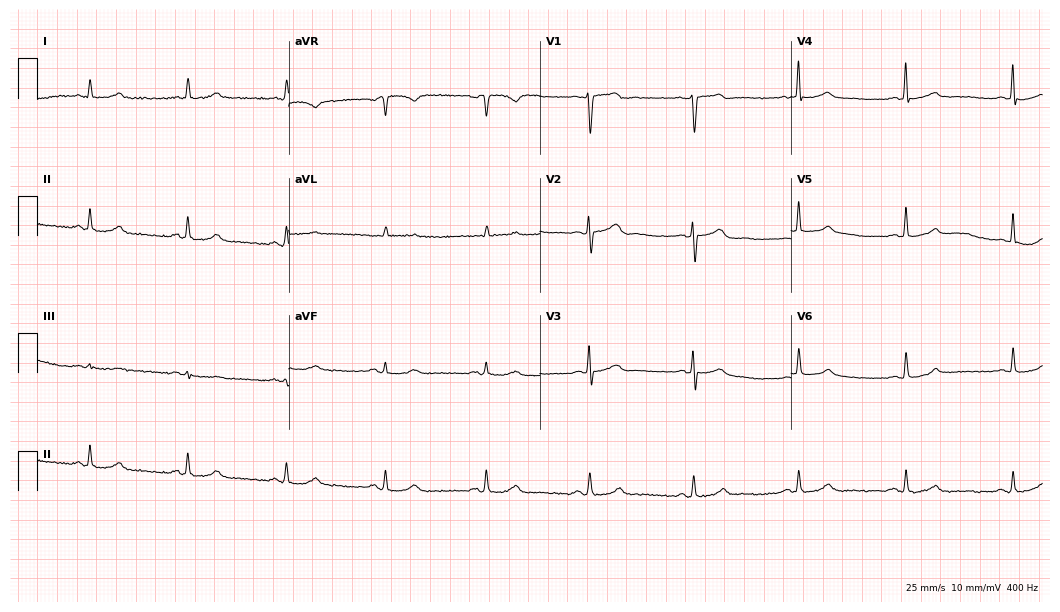
Electrocardiogram (10.2-second recording at 400 Hz), a male, 83 years old. Of the six screened findings (first-degree AV block, right bundle branch block, left bundle branch block, sinus bradycardia, atrial fibrillation, sinus tachycardia), none is recorded.